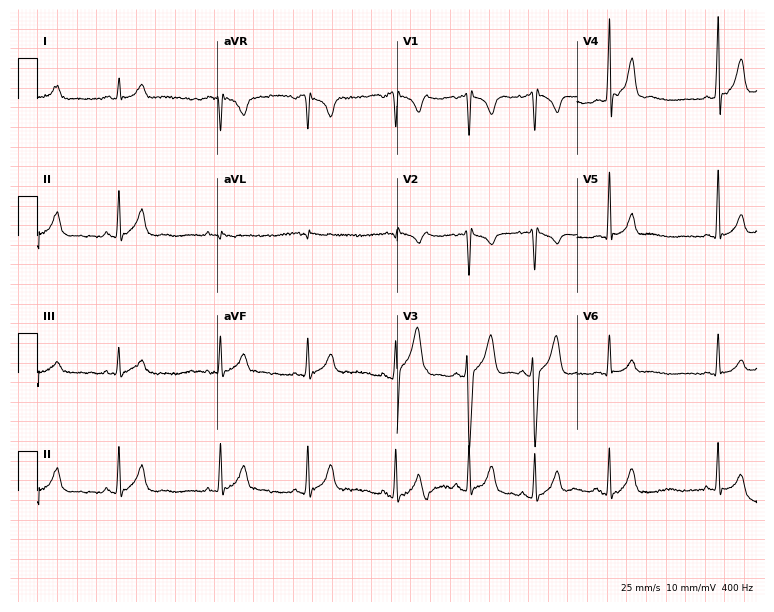
Resting 12-lead electrocardiogram (7.3-second recording at 400 Hz). Patient: a male, 17 years old. None of these six findings is recorded: first-degree AV block, right bundle branch block, left bundle branch block, sinus bradycardia, atrial fibrillation, sinus tachycardia.